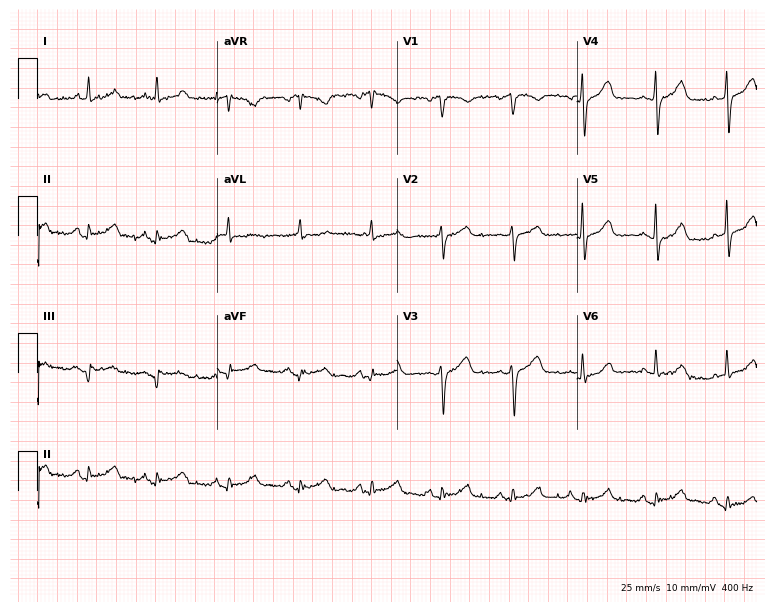
ECG — a 64-year-old female patient. Screened for six findings — first-degree AV block, right bundle branch block (RBBB), left bundle branch block (LBBB), sinus bradycardia, atrial fibrillation (AF), sinus tachycardia — none is recorded. Findings outside these six are not listed.